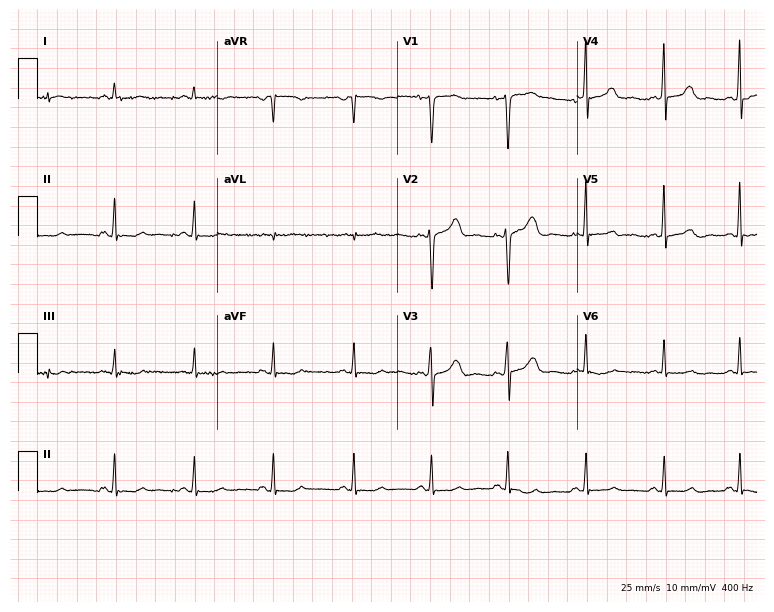
12-lead ECG (7.3-second recording at 400 Hz) from a 49-year-old female patient. Labelled as a normal ECG.